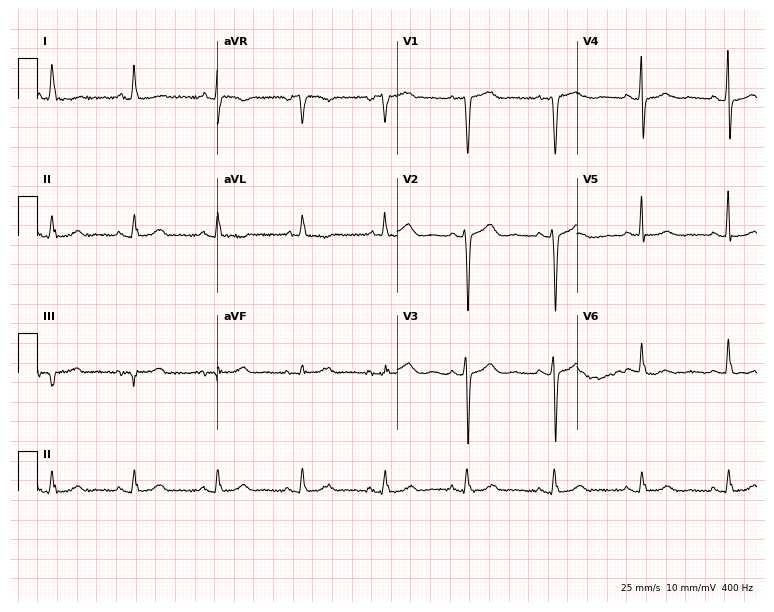
Standard 12-lead ECG recorded from a female patient, 66 years old. None of these six findings is recorded: first-degree AV block, right bundle branch block, left bundle branch block, sinus bradycardia, atrial fibrillation, sinus tachycardia.